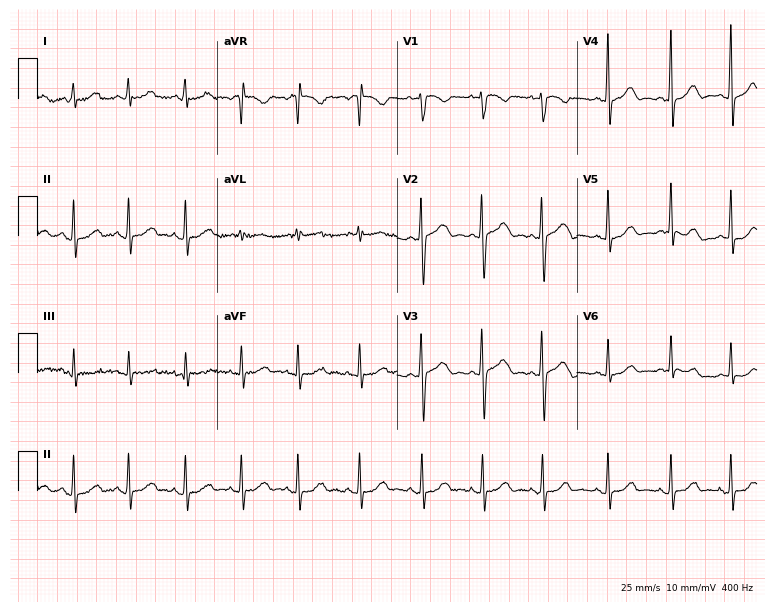
12-lead ECG from a 33-year-old female. Labelled as a normal ECG.